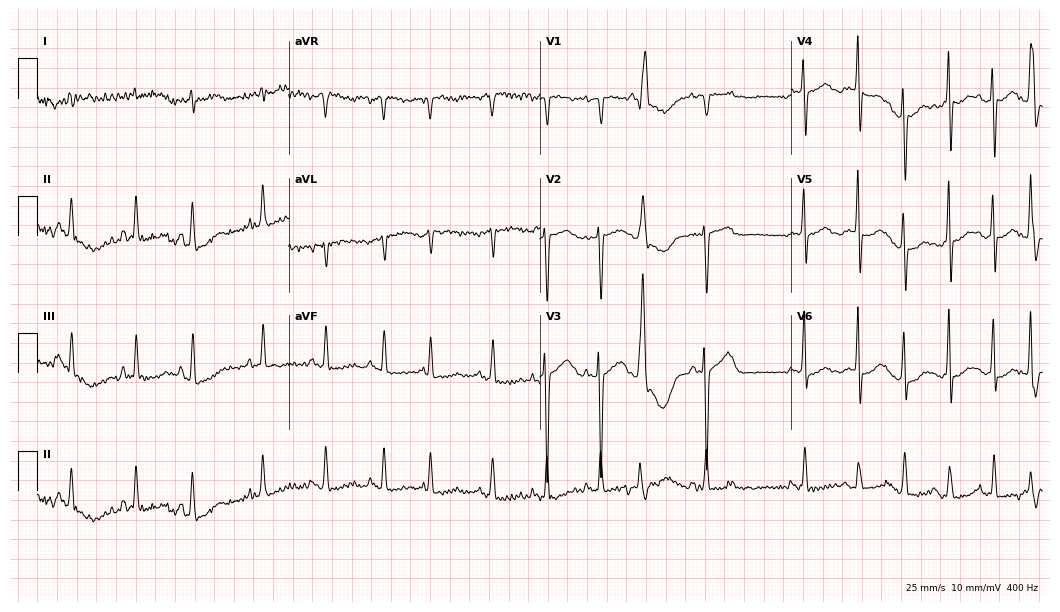
12-lead ECG from an 84-year-old woman. Labelled as a normal ECG.